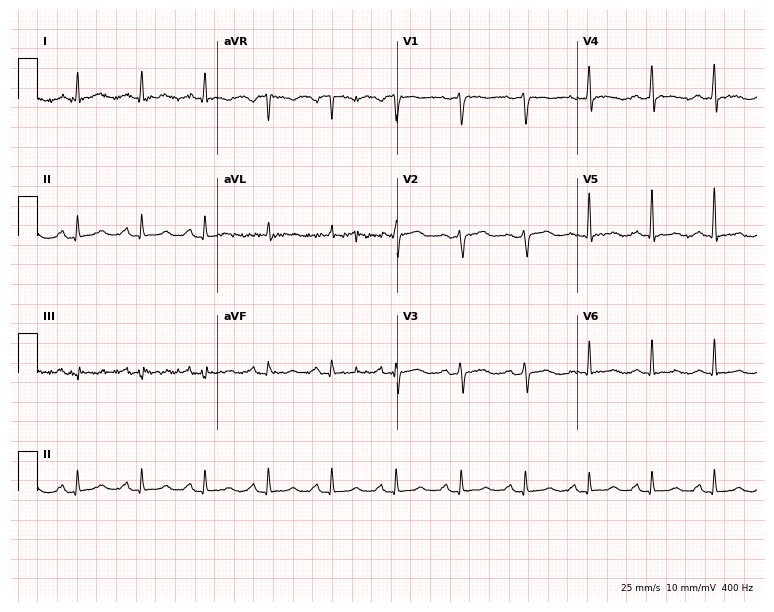
ECG (7.3-second recording at 400 Hz) — a female patient, 46 years old. Screened for six findings — first-degree AV block, right bundle branch block (RBBB), left bundle branch block (LBBB), sinus bradycardia, atrial fibrillation (AF), sinus tachycardia — none is recorded.